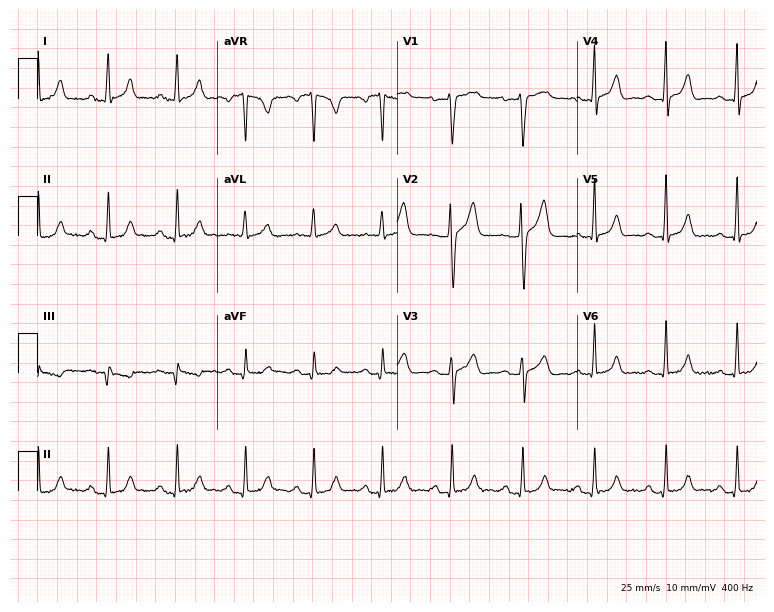
12-lead ECG (7.3-second recording at 400 Hz) from a 51-year-old male. Labelled as a normal ECG.